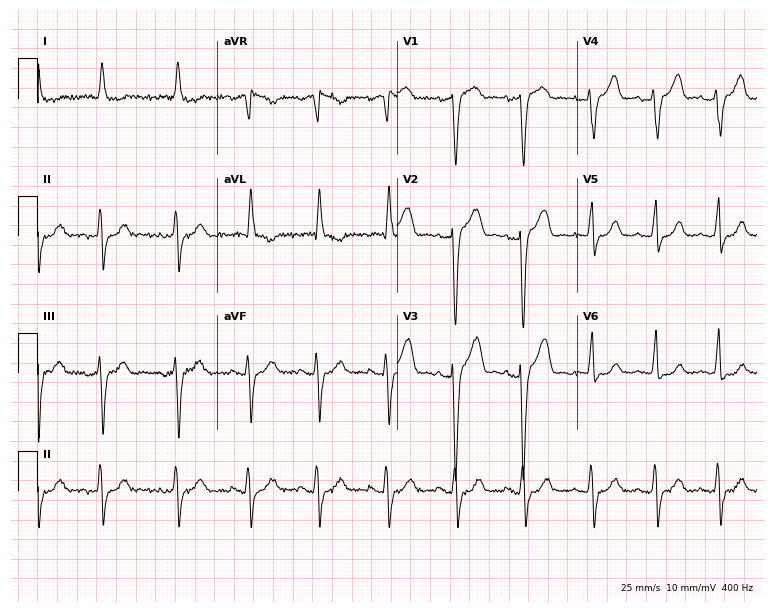
12-lead ECG from an 85-year-old female patient. No first-degree AV block, right bundle branch block (RBBB), left bundle branch block (LBBB), sinus bradycardia, atrial fibrillation (AF) or sinus tachycardia recorded for this tracing. Other findings, if any, are not listed.